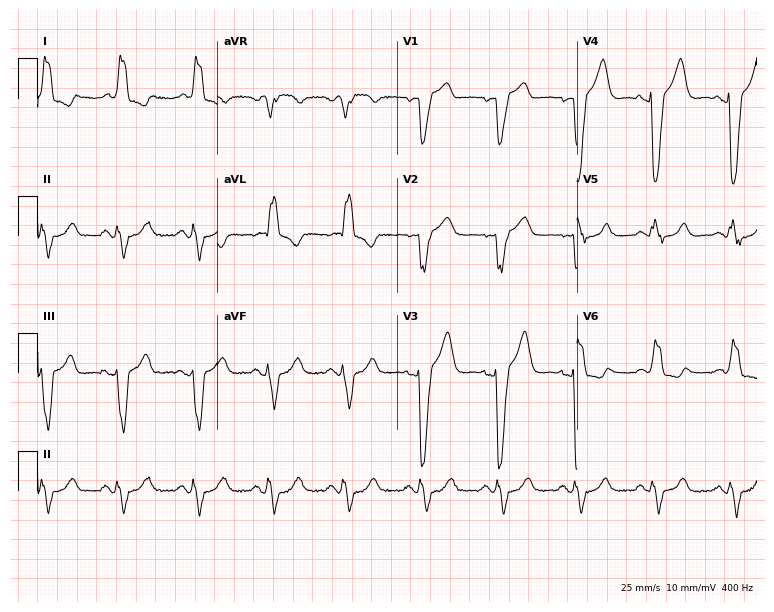
12-lead ECG from a 71-year-old woman. Findings include left bundle branch block.